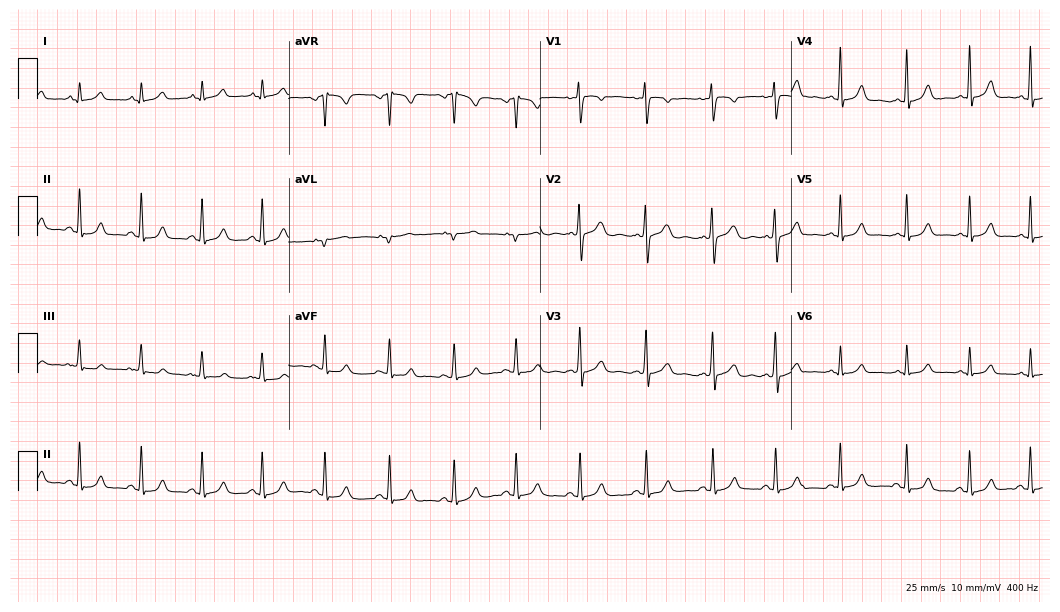
Resting 12-lead electrocardiogram. Patient: a 19-year-old woman. None of these six findings is recorded: first-degree AV block, right bundle branch block, left bundle branch block, sinus bradycardia, atrial fibrillation, sinus tachycardia.